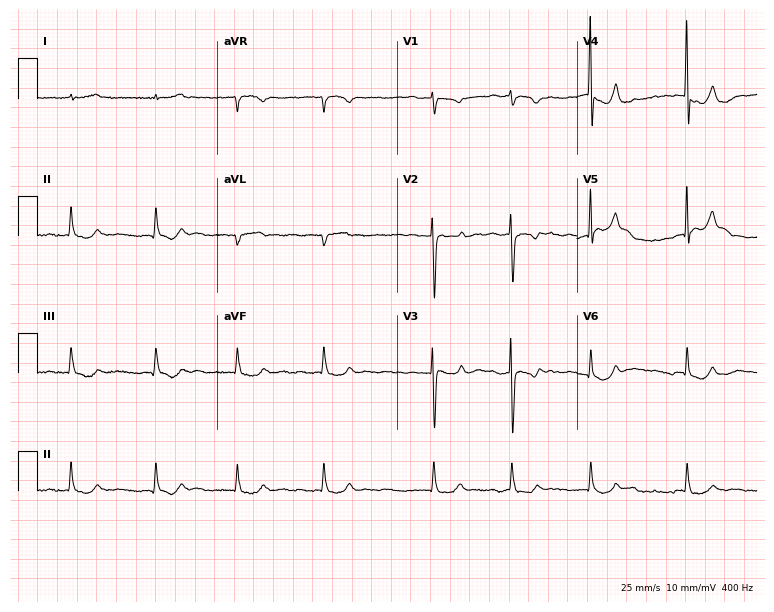
Resting 12-lead electrocardiogram. Patient: a woman, 72 years old. The tracing shows atrial fibrillation (AF).